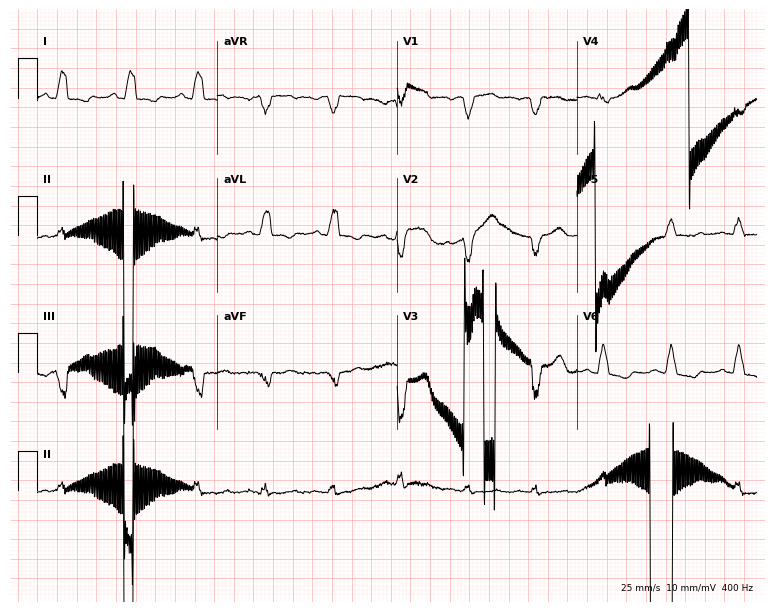
12-lead ECG from a woman, 57 years old. No first-degree AV block, right bundle branch block, left bundle branch block, sinus bradycardia, atrial fibrillation or sinus tachycardia recorded for this tracing.